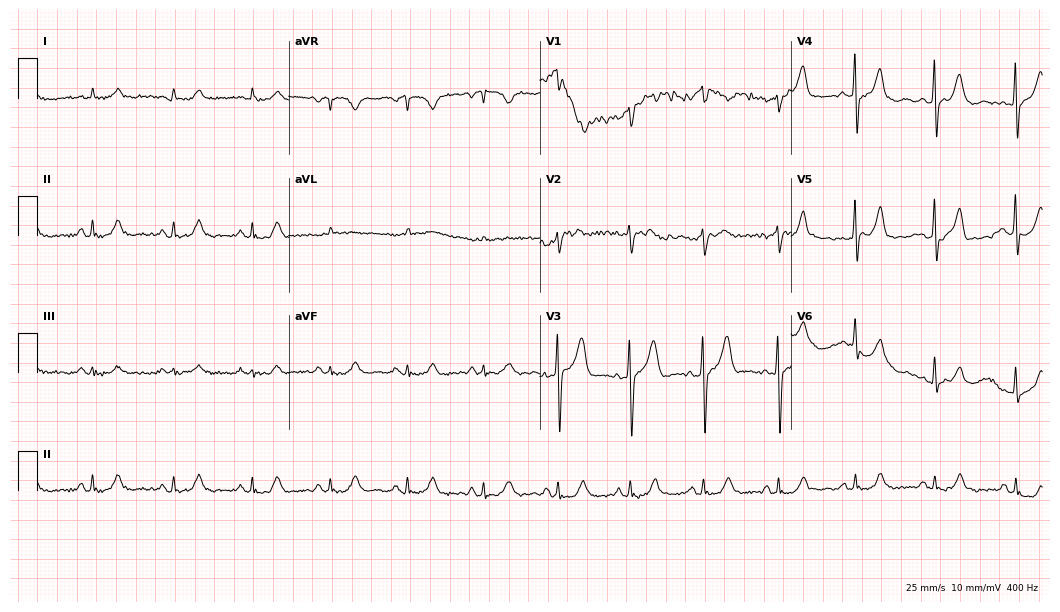
12-lead ECG from a man, 66 years old. Recorded interpretation: within normal limits.